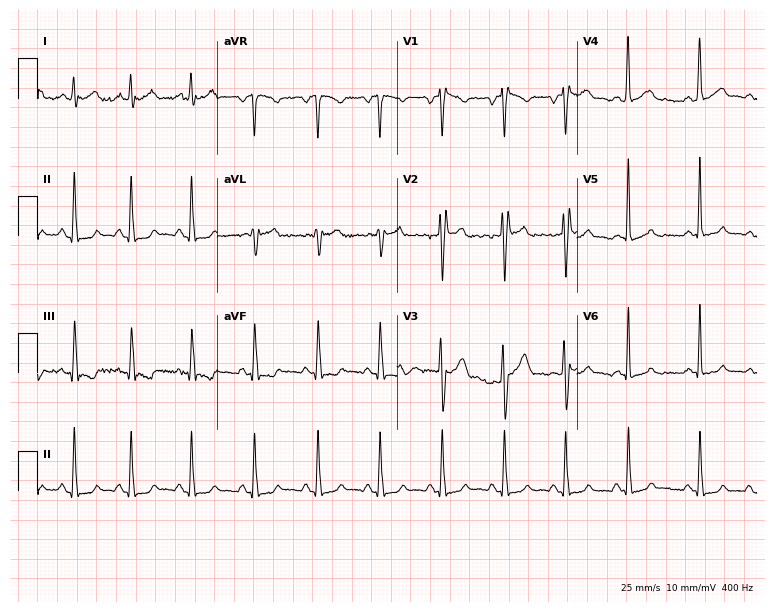
Electrocardiogram, a male, 39 years old. Overall reading on record: normal ECG.